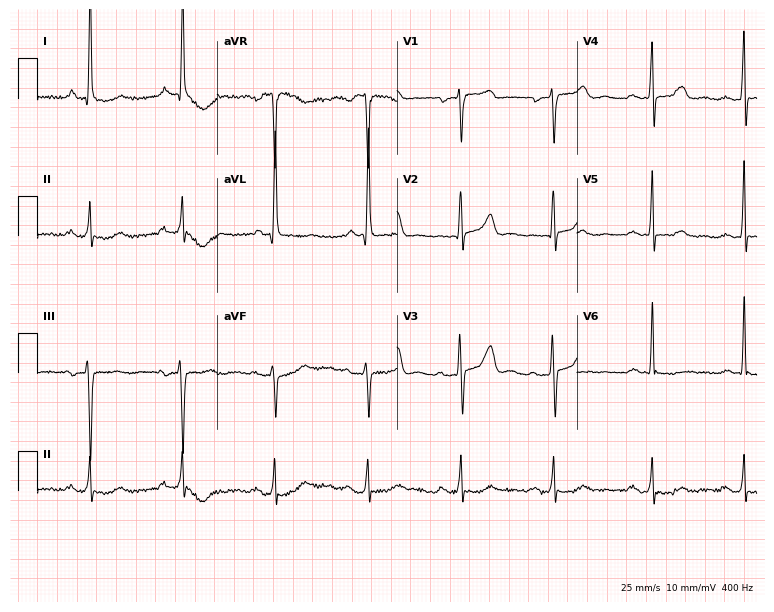
Standard 12-lead ECG recorded from a 60-year-old female patient (7.3-second recording at 400 Hz). None of these six findings is recorded: first-degree AV block, right bundle branch block, left bundle branch block, sinus bradycardia, atrial fibrillation, sinus tachycardia.